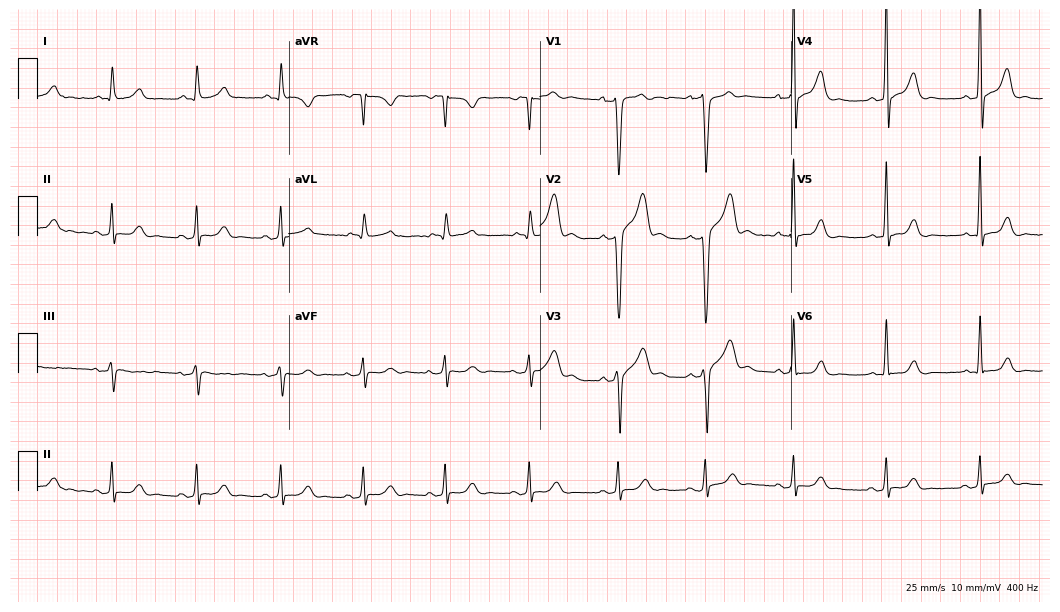
Resting 12-lead electrocardiogram. Patient: a 49-year-old man. Read as a normal ECG.